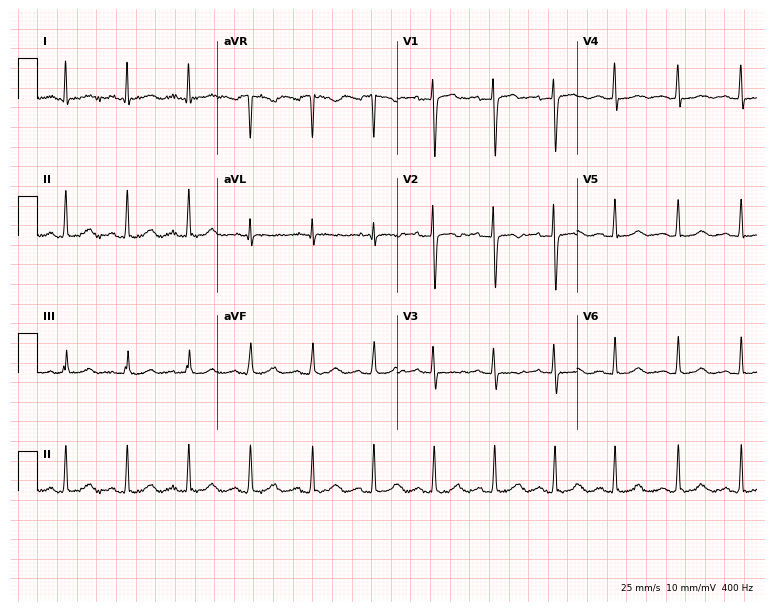
ECG (7.3-second recording at 400 Hz) — a female, 37 years old. Screened for six findings — first-degree AV block, right bundle branch block (RBBB), left bundle branch block (LBBB), sinus bradycardia, atrial fibrillation (AF), sinus tachycardia — none is recorded. Other findings, if any, are not listed.